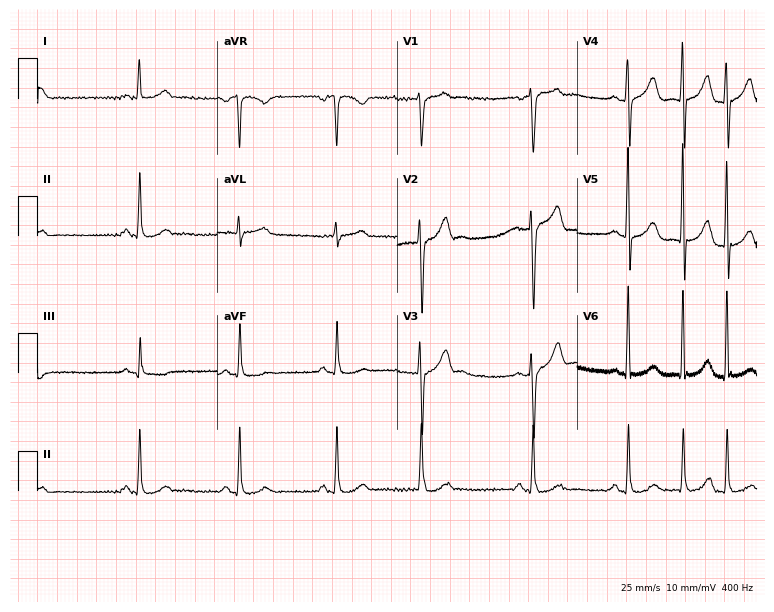
12-lead ECG from a male patient, 49 years old. Screened for six findings — first-degree AV block, right bundle branch block, left bundle branch block, sinus bradycardia, atrial fibrillation, sinus tachycardia — none is recorded. Only these six findings were labelled.